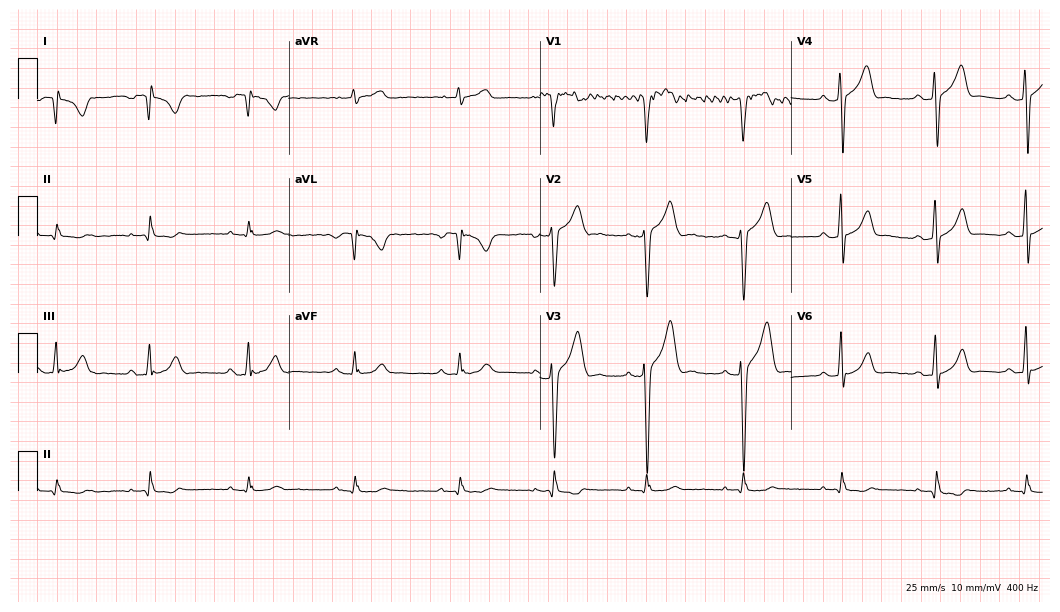
Electrocardiogram (10.2-second recording at 400 Hz), a 29-year-old male. Of the six screened findings (first-degree AV block, right bundle branch block (RBBB), left bundle branch block (LBBB), sinus bradycardia, atrial fibrillation (AF), sinus tachycardia), none is recorded. Only these six findings were labelled.